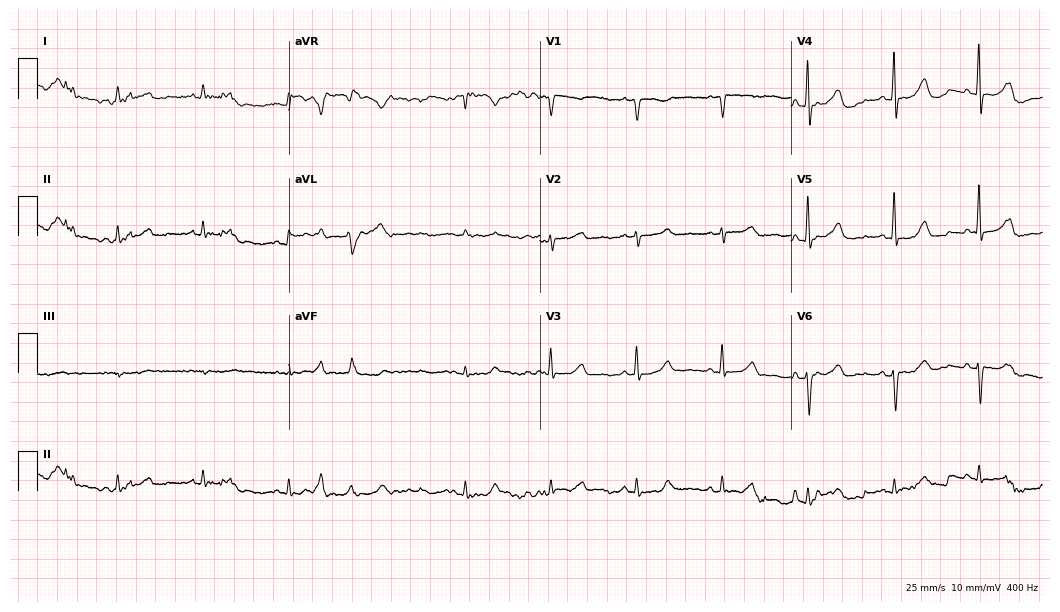
Standard 12-lead ECG recorded from a 77-year-old male patient. None of these six findings is recorded: first-degree AV block, right bundle branch block, left bundle branch block, sinus bradycardia, atrial fibrillation, sinus tachycardia.